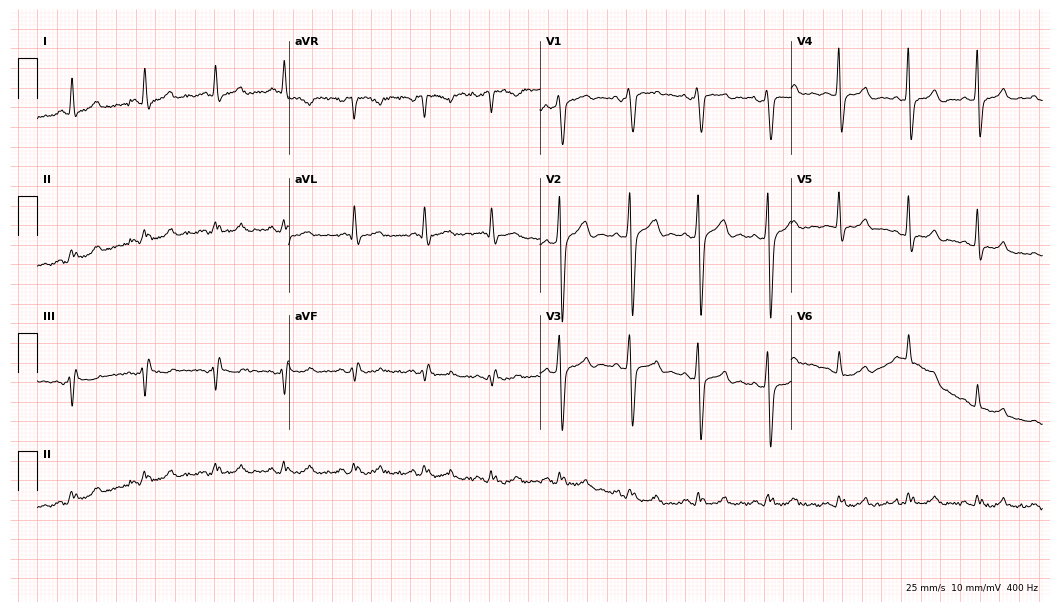
ECG — a 36-year-old man. Screened for six findings — first-degree AV block, right bundle branch block, left bundle branch block, sinus bradycardia, atrial fibrillation, sinus tachycardia — none is recorded.